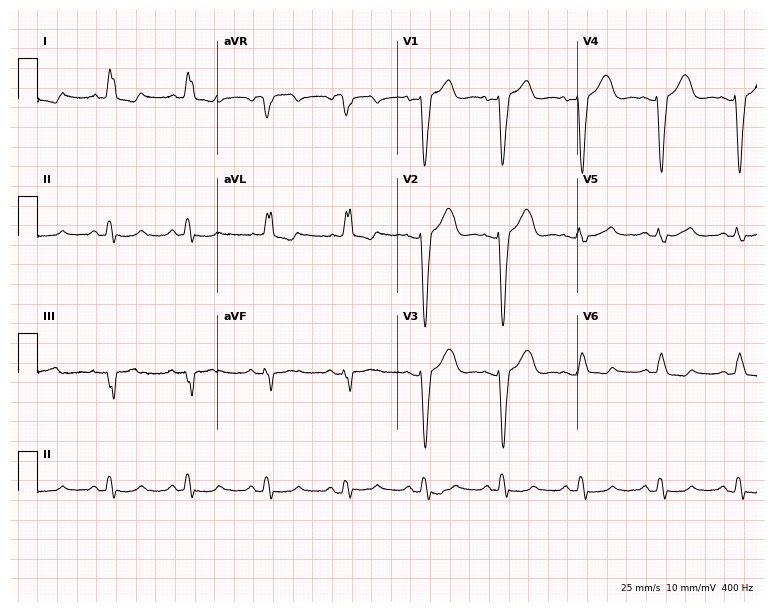
Resting 12-lead electrocardiogram. Patient: a female, 64 years old. The tracing shows left bundle branch block.